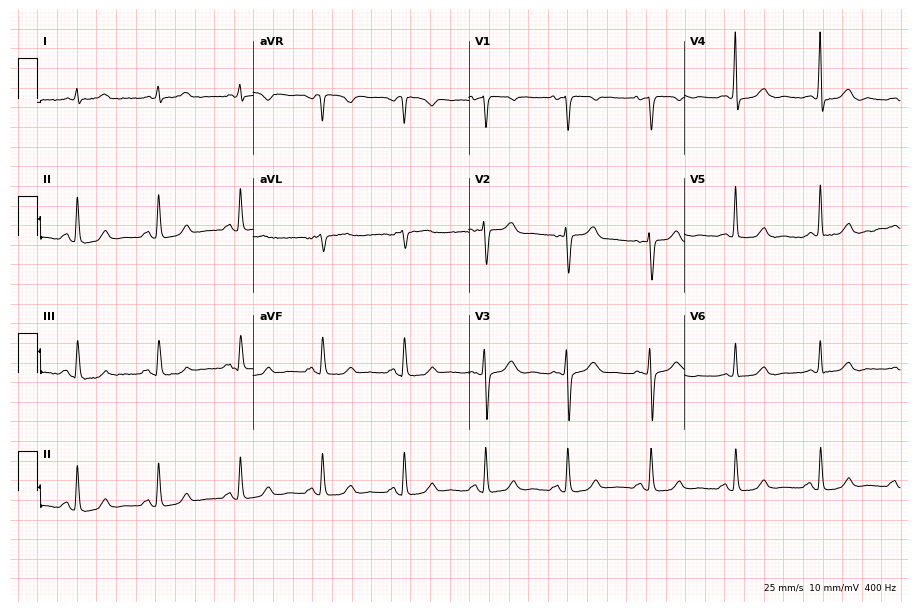
Electrocardiogram, a 68-year-old female patient. Of the six screened findings (first-degree AV block, right bundle branch block (RBBB), left bundle branch block (LBBB), sinus bradycardia, atrial fibrillation (AF), sinus tachycardia), none is recorded.